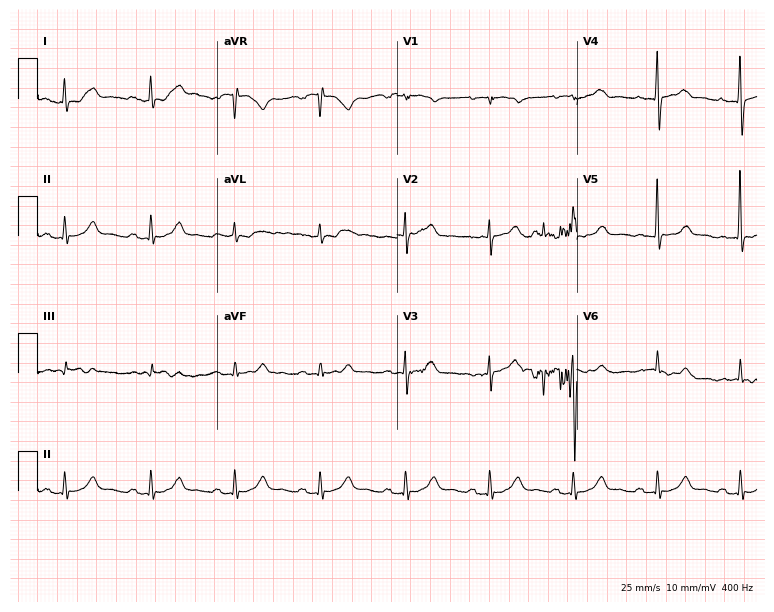
Standard 12-lead ECG recorded from a female patient, 85 years old (7.3-second recording at 400 Hz). Read as a normal ECG.